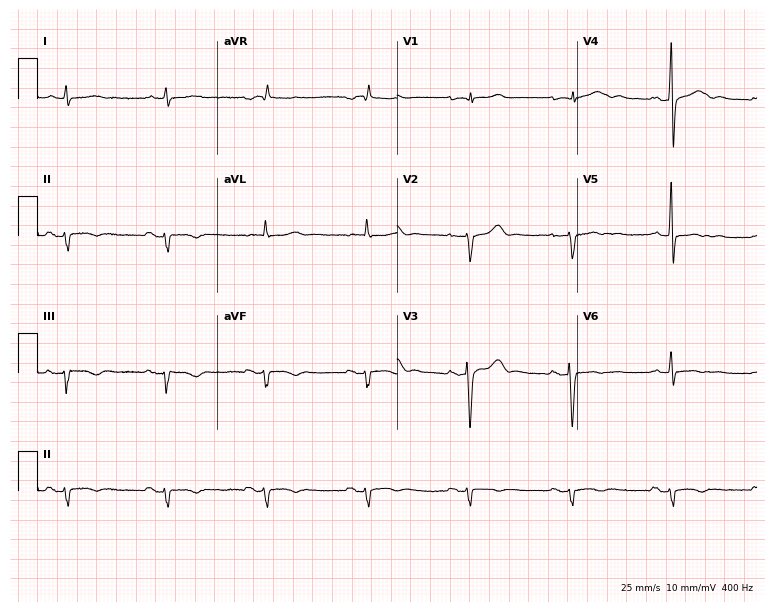
12-lead ECG from a 76-year-old man. Screened for six findings — first-degree AV block, right bundle branch block, left bundle branch block, sinus bradycardia, atrial fibrillation, sinus tachycardia — none is recorded.